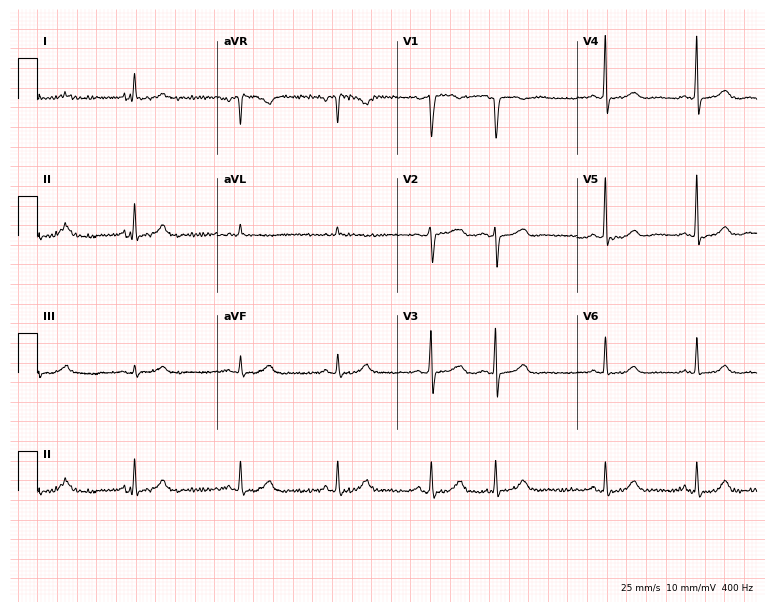
Standard 12-lead ECG recorded from a 60-year-old female (7.3-second recording at 400 Hz). None of these six findings is recorded: first-degree AV block, right bundle branch block (RBBB), left bundle branch block (LBBB), sinus bradycardia, atrial fibrillation (AF), sinus tachycardia. Other findings, if any, are not listed.